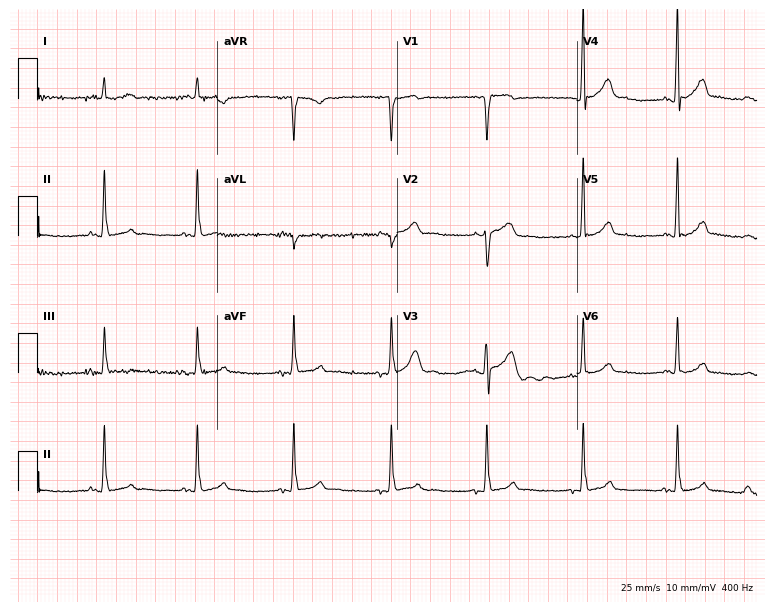
ECG (7.3-second recording at 400 Hz) — a 50-year-old man. Screened for six findings — first-degree AV block, right bundle branch block (RBBB), left bundle branch block (LBBB), sinus bradycardia, atrial fibrillation (AF), sinus tachycardia — none is recorded. Findings outside these six are not listed.